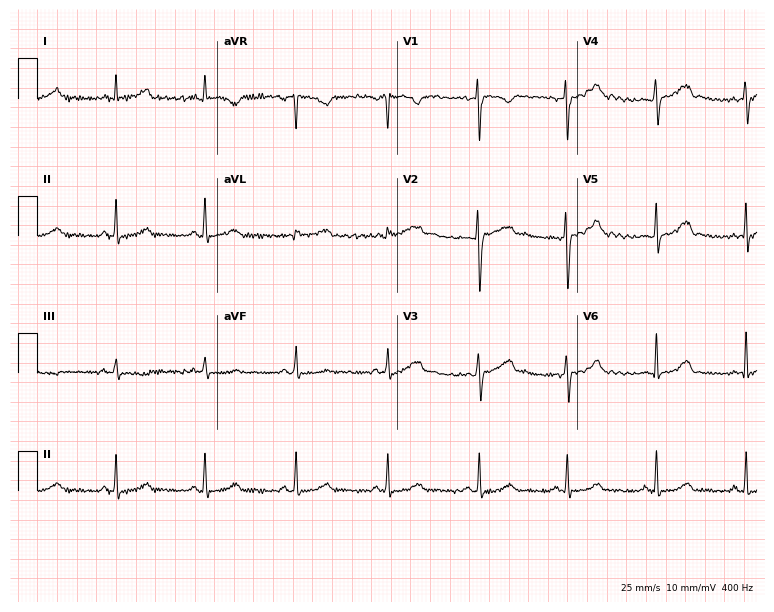
Resting 12-lead electrocardiogram. Patient: a 29-year-old female. None of these six findings is recorded: first-degree AV block, right bundle branch block, left bundle branch block, sinus bradycardia, atrial fibrillation, sinus tachycardia. Other findings, if any, are not listed.